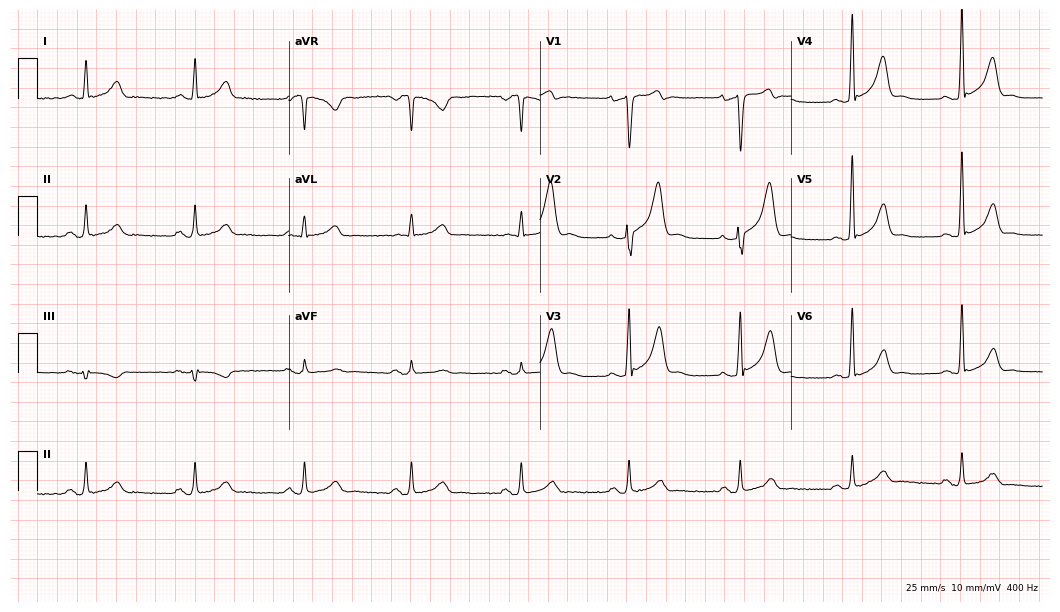
Standard 12-lead ECG recorded from a man, 50 years old. Read as a normal ECG.